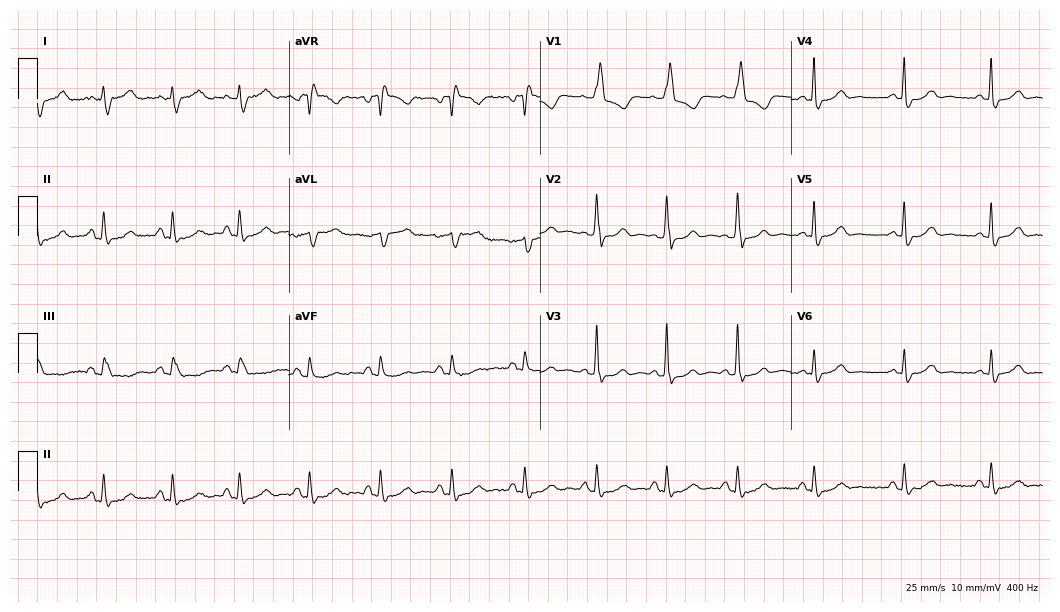
ECG (10.2-second recording at 400 Hz) — a 64-year-old woman. Findings include right bundle branch block.